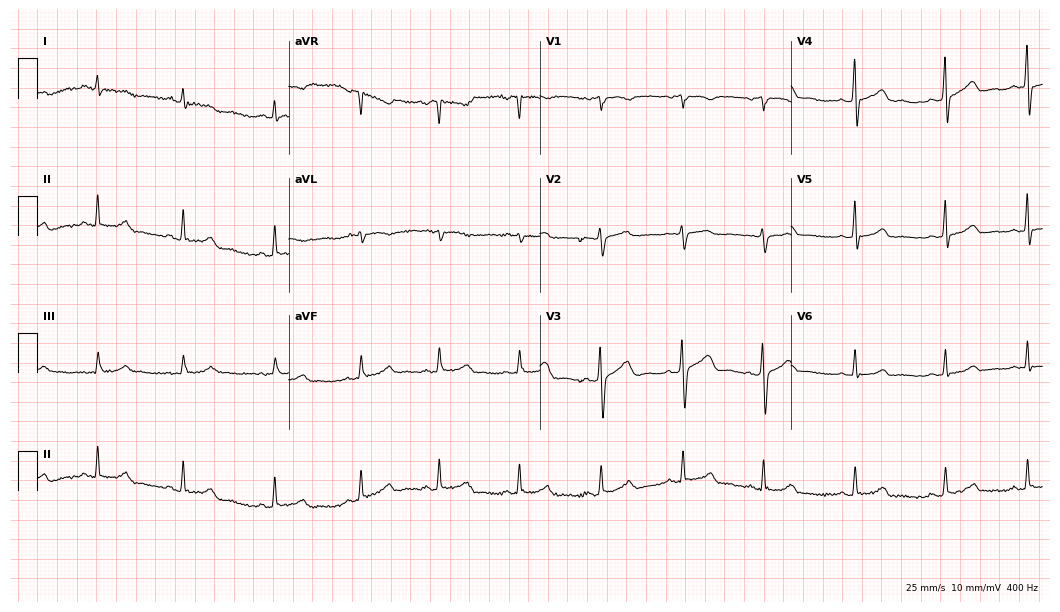
Electrocardiogram (10.2-second recording at 400 Hz), a 39-year-old female patient. Overall reading on record: normal ECG.